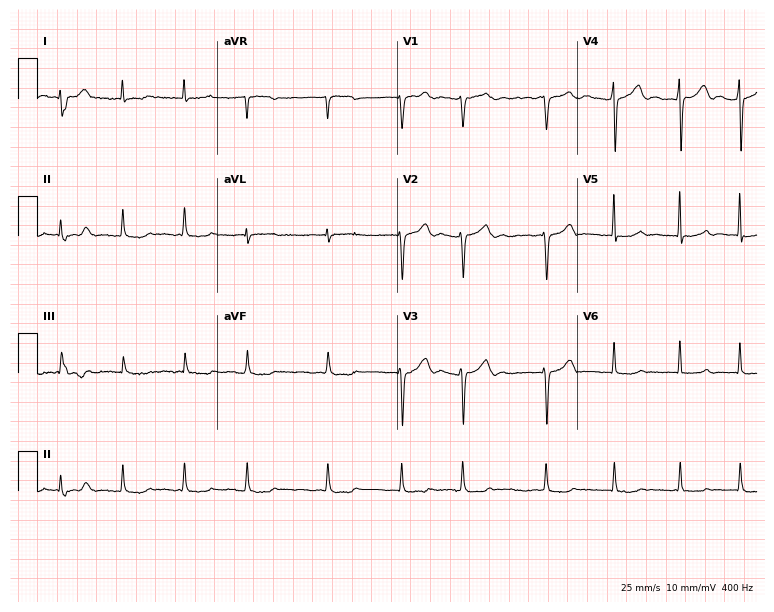
12-lead ECG from a 73-year-old male patient. Screened for six findings — first-degree AV block, right bundle branch block, left bundle branch block, sinus bradycardia, atrial fibrillation, sinus tachycardia — none is recorded. Only these six findings were labelled.